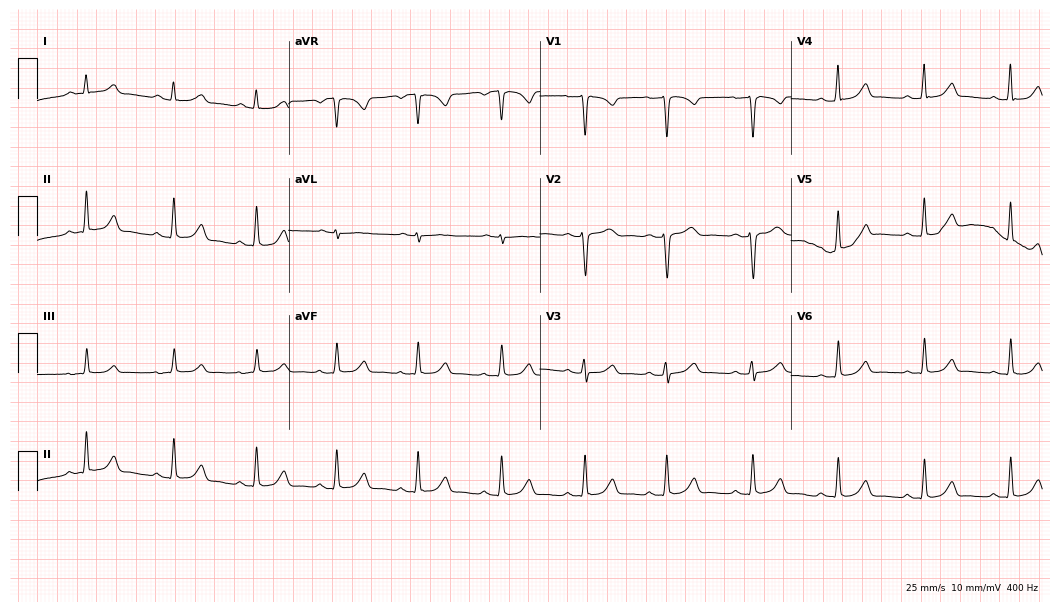
Resting 12-lead electrocardiogram (10.2-second recording at 400 Hz). Patient: a woman, 35 years old. None of these six findings is recorded: first-degree AV block, right bundle branch block, left bundle branch block, sinus bradycardia, atrial fibrillation, sinus tachycardia. Only these six findings were labelled.